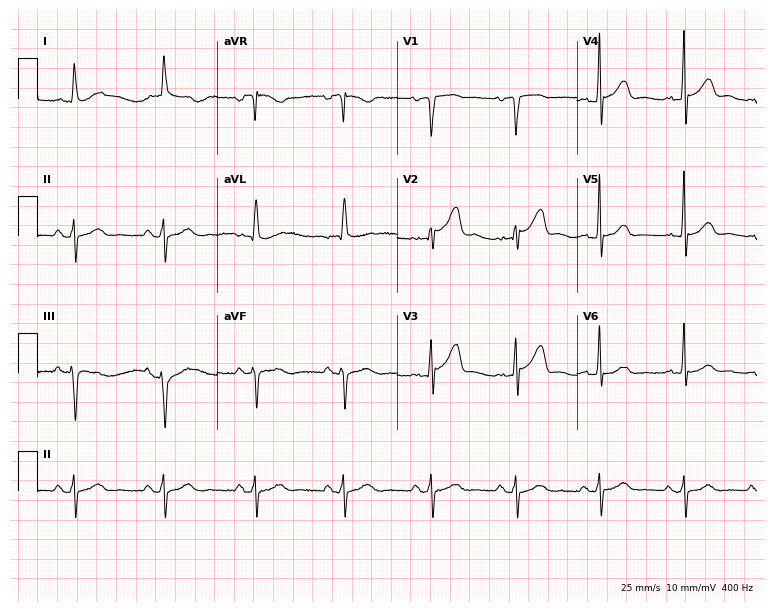
Electrocardiogram (7.3-second recording at 400 Hz), a female patient, 76 years old. Of the six screened findings (first-degree AV block, right bundle branch block (RBBB), left bundle branch block (LBBB), sinus bradycardia, atrial fibrillation (AF), sinus tachycardia), none is recorded. Other findings, if any, are not listed.